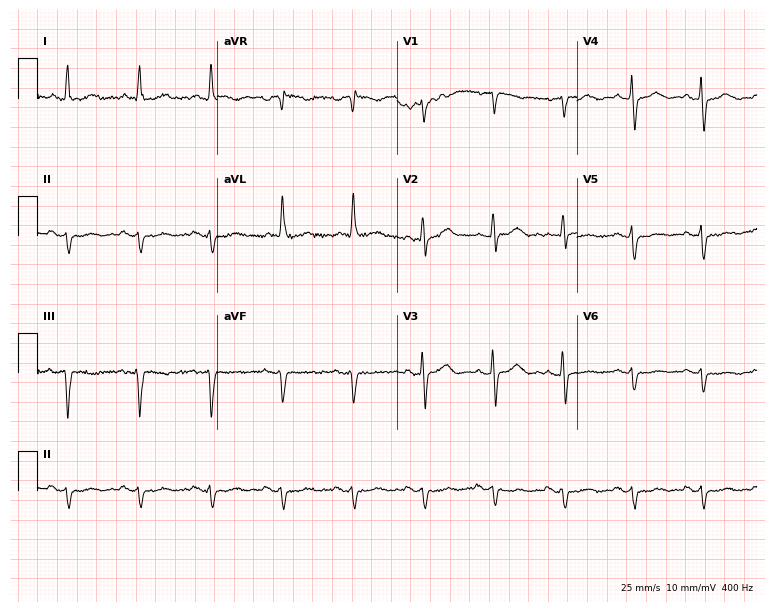
12-lead ECG (7.3-second recording at 400 Hz) from a woman, 74 years old. Screened for six findings — first-degree AV block, right bundle branch block, left bundle branch block, sinus bradycardia, atrial fibrillation, sinus tachycardia — none is recorded. Other findings, if any, are not listed.